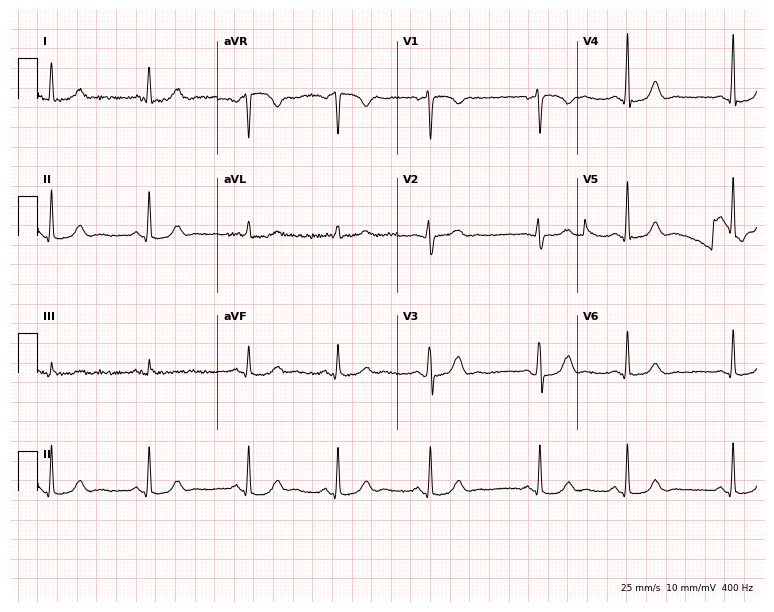
Electrocardiogram (7.3-second recording at 400 Hz), a 23-year-old female. Overall reading on record: normal ECG.